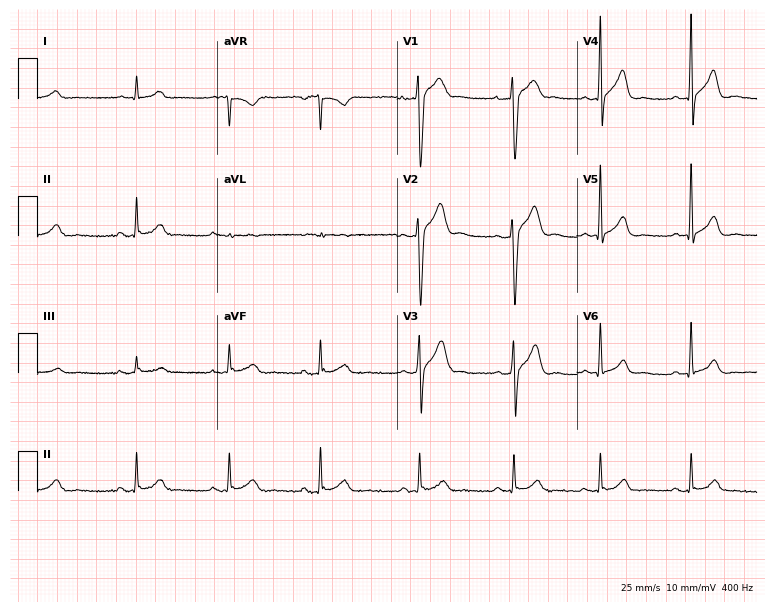
Resting 12-lead electrocardiogram. Patient: a 40-year-old male. Read as a normal ECG.